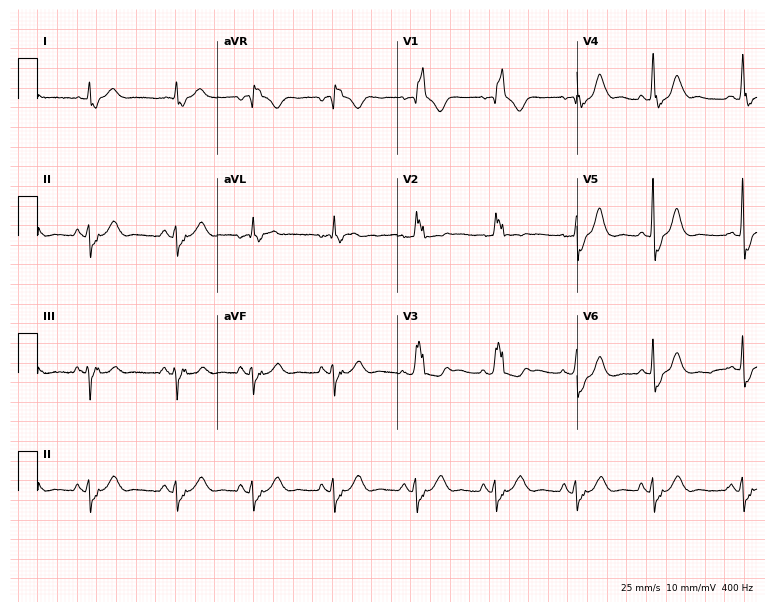
Standard 12-lead ECG recorded from a 66-year-old female patient (7.3-second recording at 400 Hz). The tracing shows right bundle branch block.